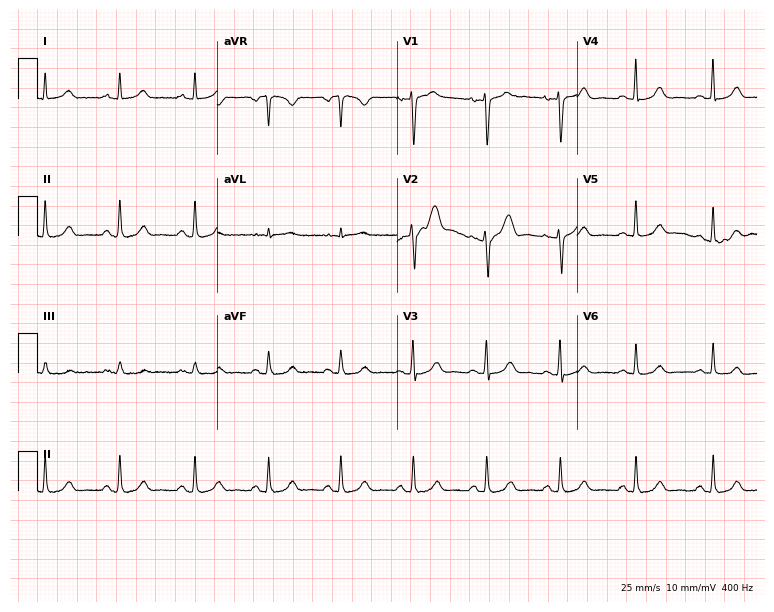
Electrocardiogram (7.3-second recording at 400 Hz), a 41-year-old woman. Overall reading on record: normal ECG.